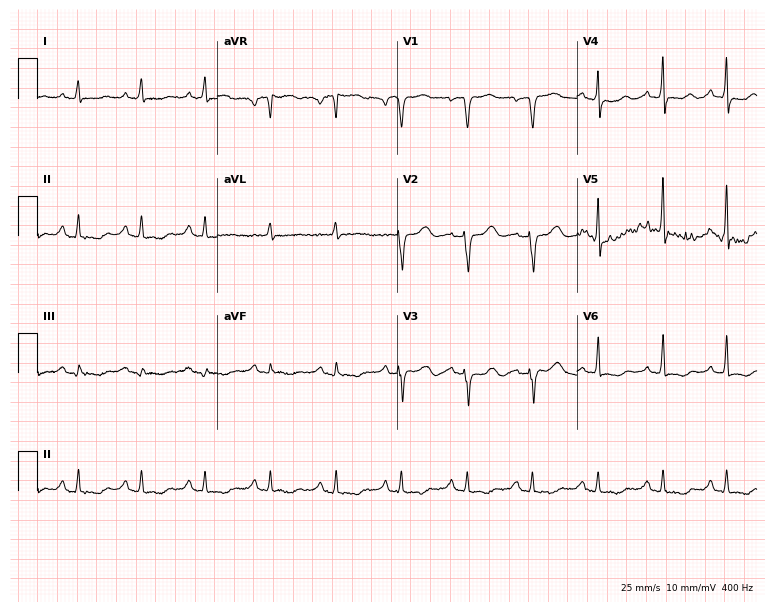
Resting 12-lead electrocardiogram (7.3-second recording at 400 Hz). Patient: a 68-year-old woman. Read as a normal ECG.